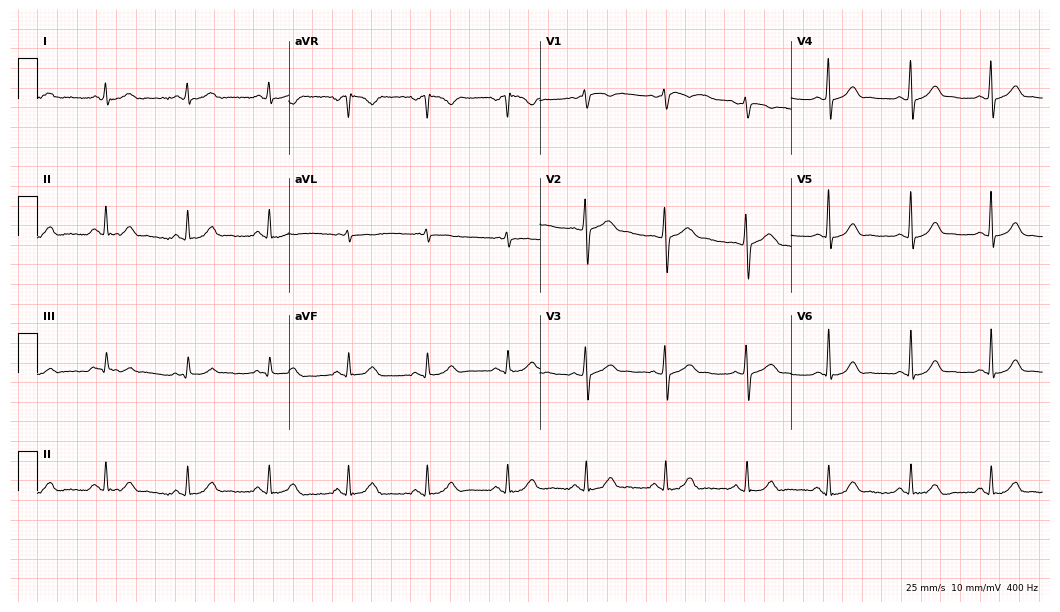
12-lead ECG from a 30-year-old female patient. Recorded interpretation: within normal limits.